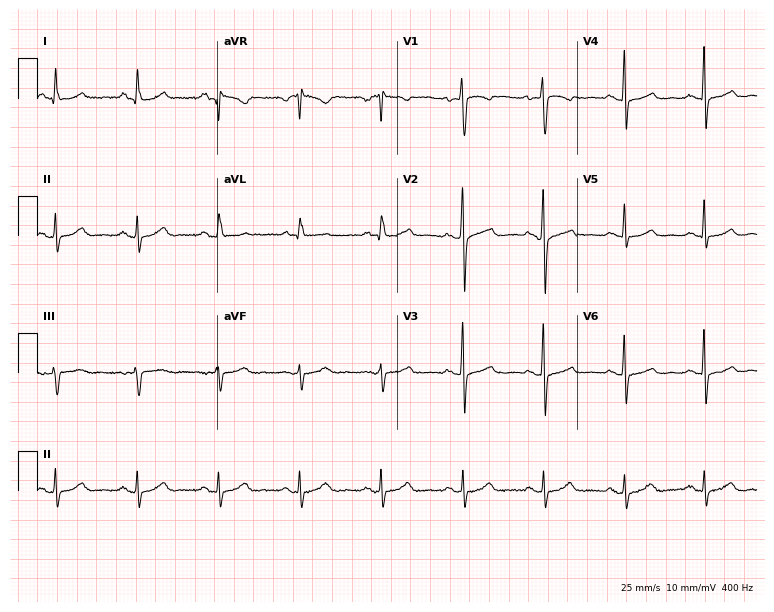
Resting 12-lead electrocardiogram. Patient: a female, 63 years old. Read as a normal ECG.